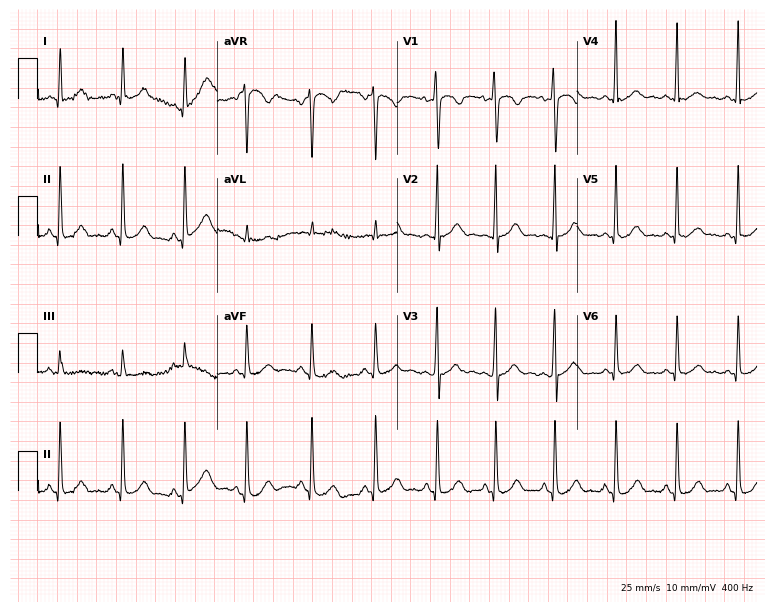
Electrocardiogram (7.3-second recording at 400 Hz), a female, 25 years old. Overall reading on record: normal ECG.